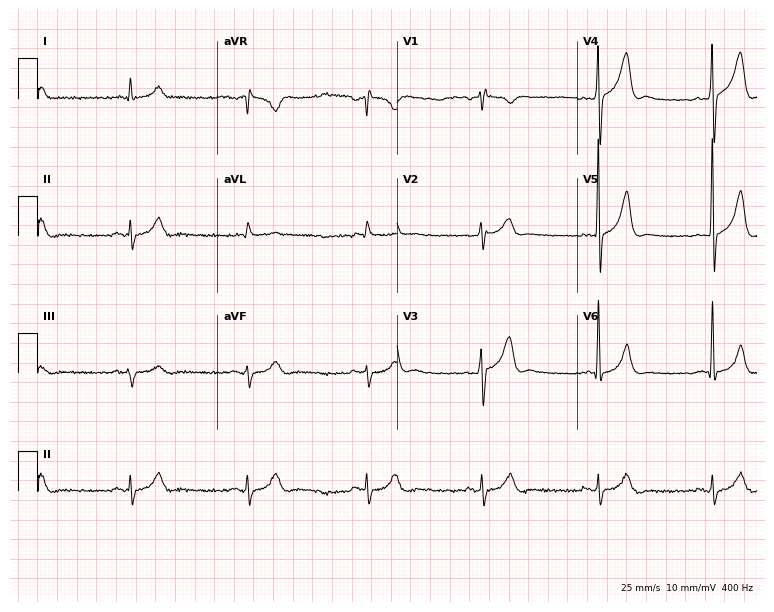
ECG (7.3-second recording at 400 Hz) — a man, 60 years old. Screened for six findings — first-degree AV block, right bundle branch block, left bundle branch block, sinus bradycardia, atrial fibrillation, sinus tachycardia — none is recorded.